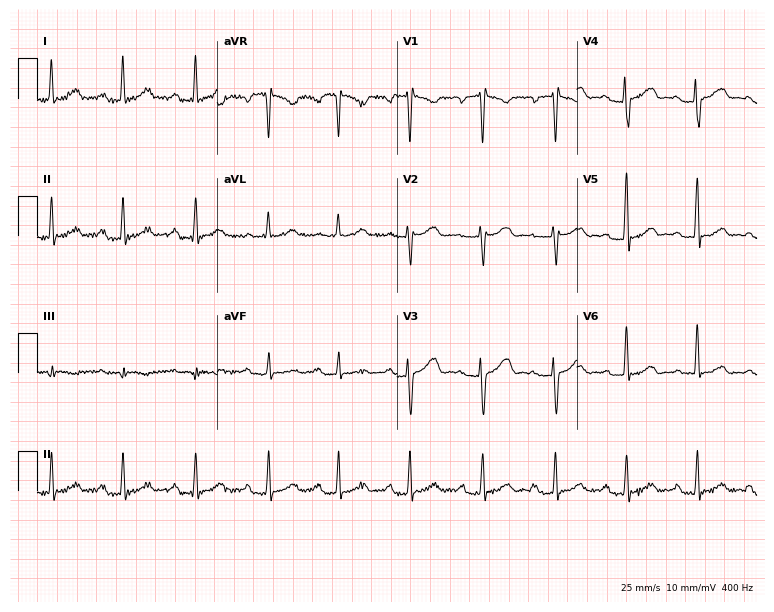
Electrocardiogram, a woman, 37 years old. Interpretation includes first-degree AV block.